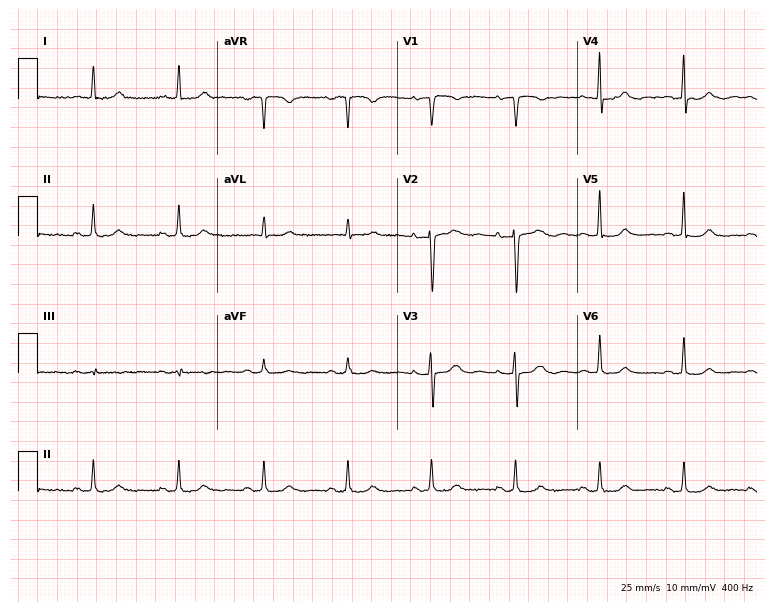
ECG — a 78-year-old female. Screened for six findings — first-degree AV block, right bundle branch block, left bundle branch block, sinus bradycardia, atrial fibrillation, sinus tachycardia — none is recorded.